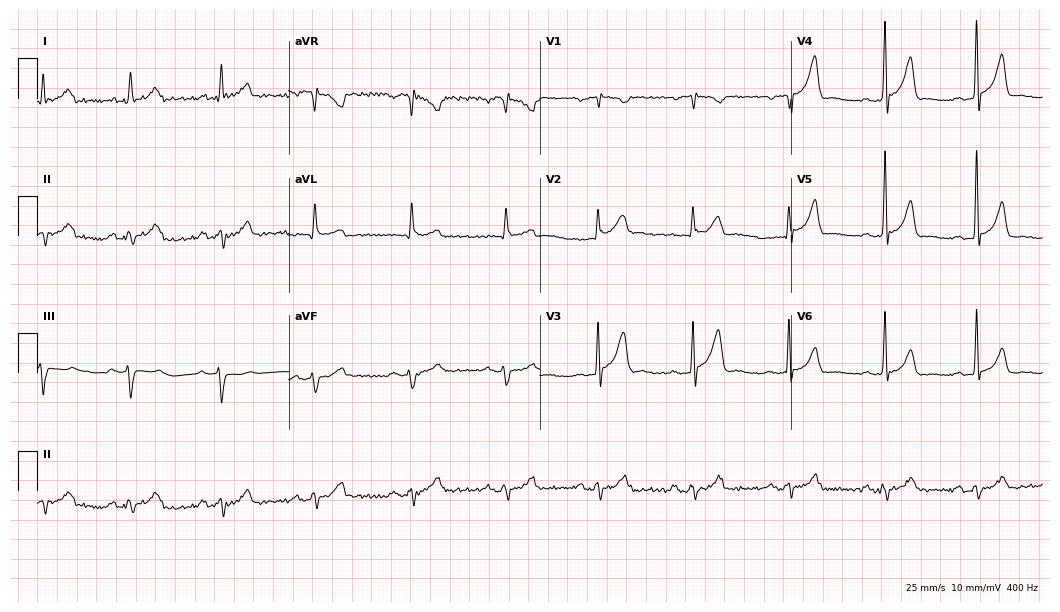
12-lead ECG from a 43-year-old male patient (10.2-second recording at 400 Hz). No first-degree AV block, right bundle branch block, left bundle branch block, sinus bradycardia, atrial fibrillation or sinus tachycardia recorded for this tracing.